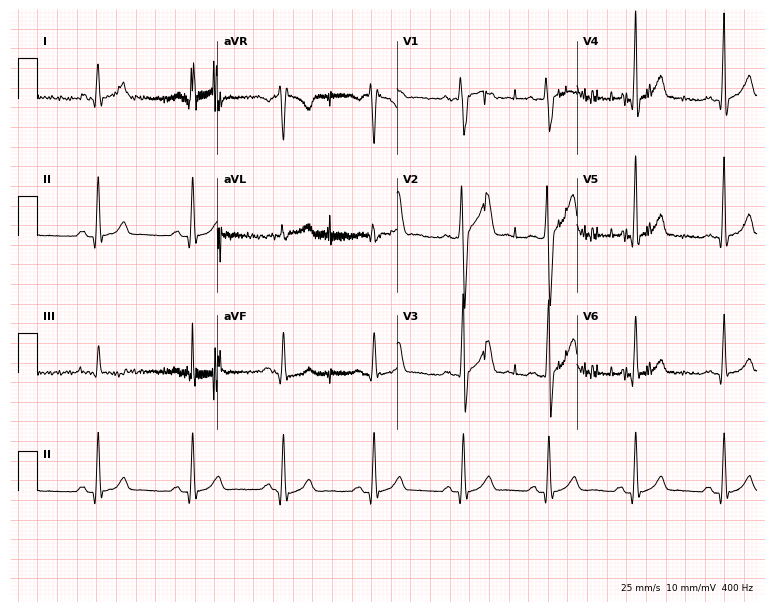
12-lead ECG from a 23-year-old male (7.3-second recording at 400 Hz). No first-degree AV block, right bundle branch block, left bundle branch block, sinus bradycardia, atrial fibrillation or sinus tachycardia recorded for this tracing. Only these six findings were labelled.